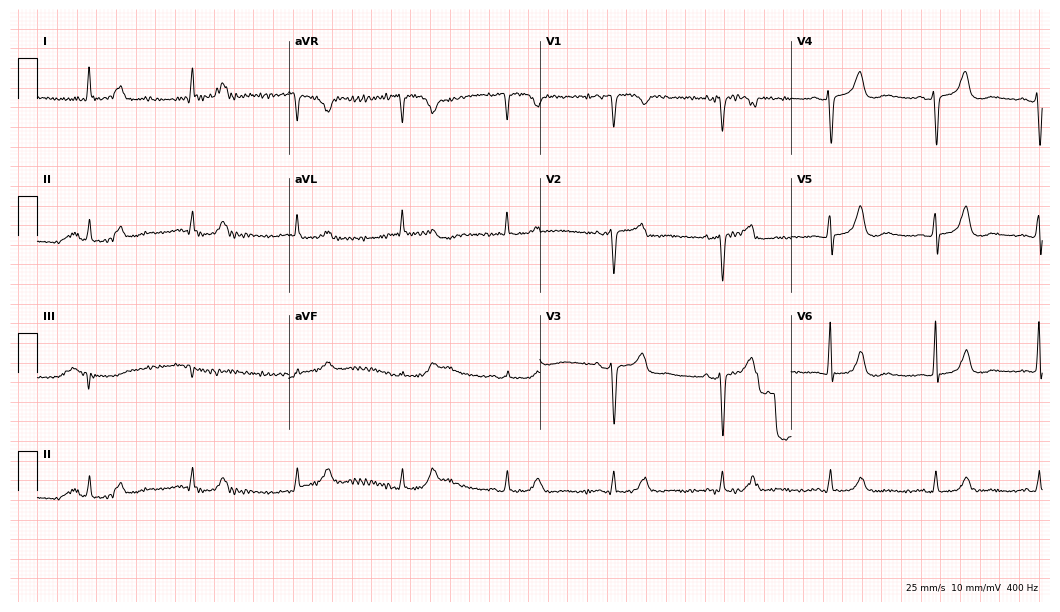
ECG (10.2-second recording at 400 Hz) — a 74-year-old female patient. Screened for six findings — first-degree AV block, right bundle branch block (RBBB), left bundle branch block (LBBB), sinus bradycardia, atrial fibrillation (AF), sinus tachycardia — none is recorded. Other findings, if any, are not listed.